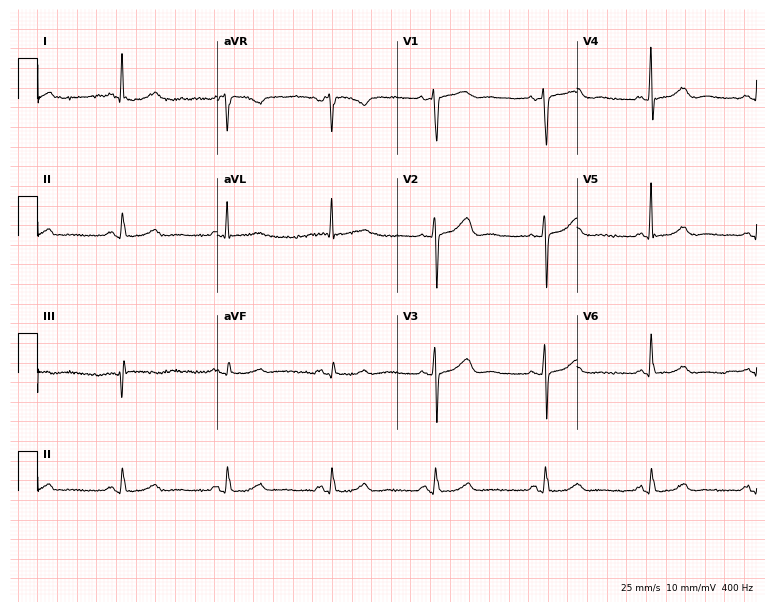
Standard 12-lead ECG recorded from an 80-year-old woman (7.3-second recording at 400 Hz). Read as a normal ECG.